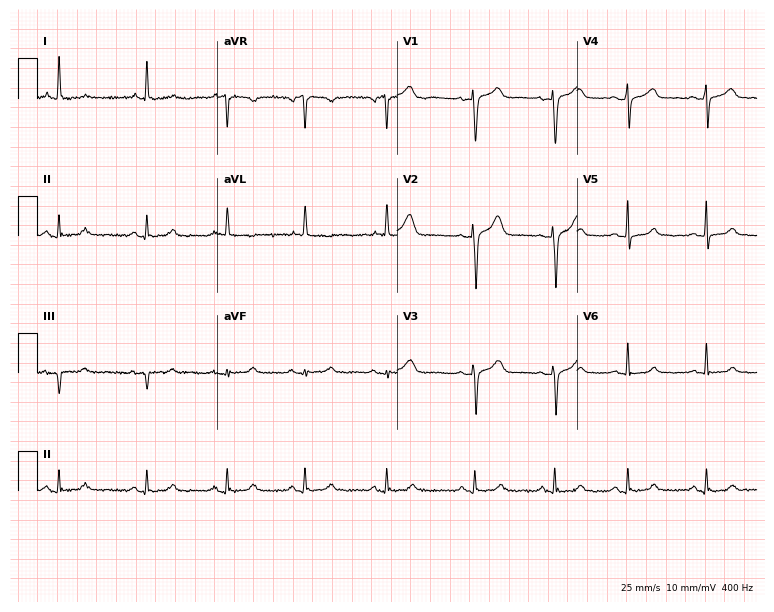
Standard 12-lead ECG recorded from a 54-year-old female. Read as a normal ECG.